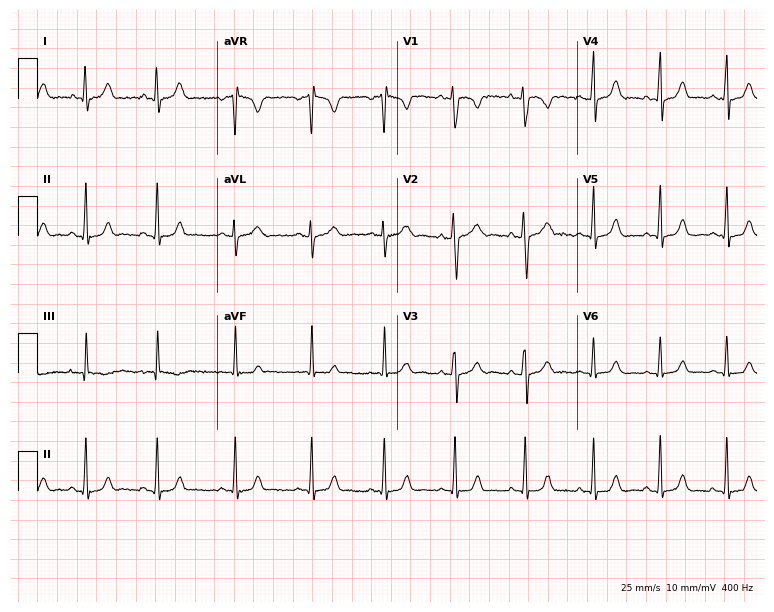
Electrocardiogram (7.3-second recording at 400 Hz), a 19-year-old woman. Overall reading on record: normal ECG.